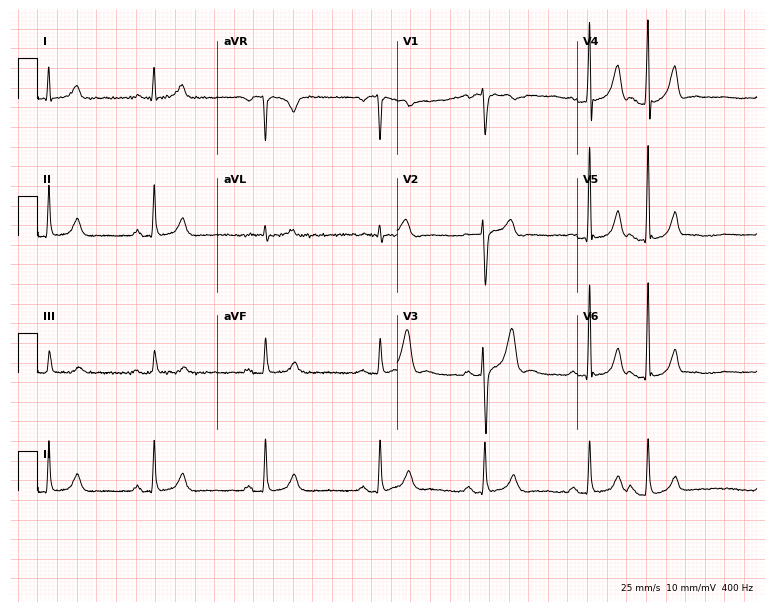
12-lead ECG (7.3-second recording at 400 Hz) from a 42-year-old man. Screened for six findings — first-degree AV block, right bundle branch block, left bundle branch block, sinus bradycardia, atrial fibrillation, sinus tachycardia — none is recorded. Other findings, if any, are not listed.